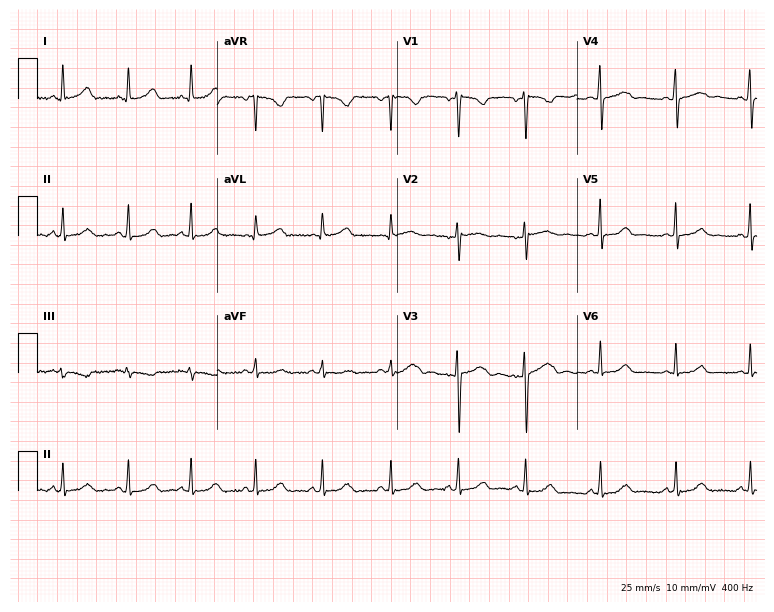
12-lead ECG (7.3-second recording at 400 Hz) from a 28-year-old female. Labelled as a normal ECG.